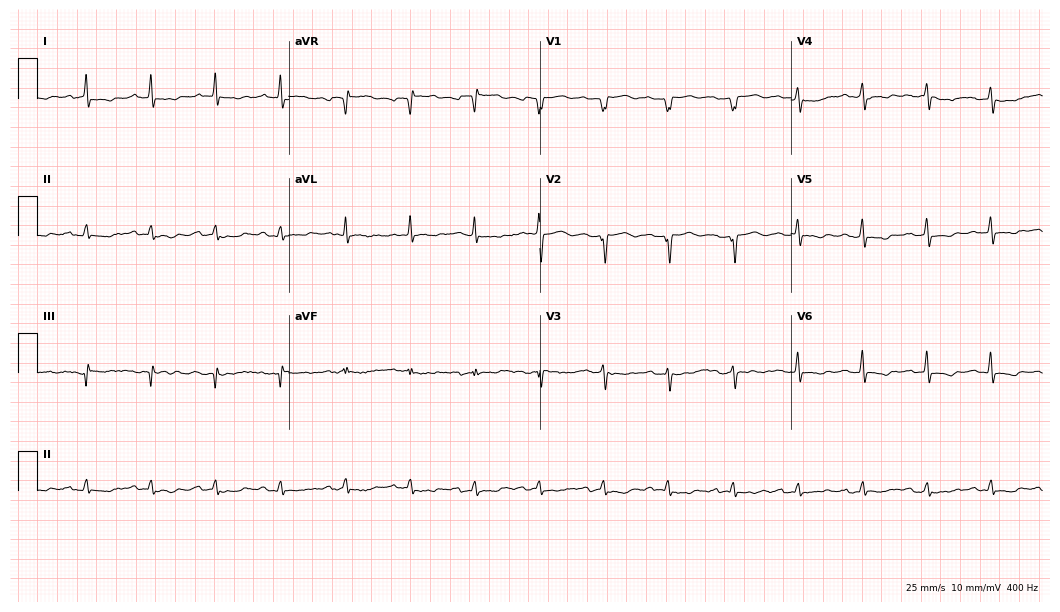
Standard 12-lead ECG recorded from a 64-year-old male patient. None of these six findings is recorded: first-degree AV block, right bundle branch block, left bundle branch block, sinus bradycardia, atrial fibrillation, sinus tachycardia.